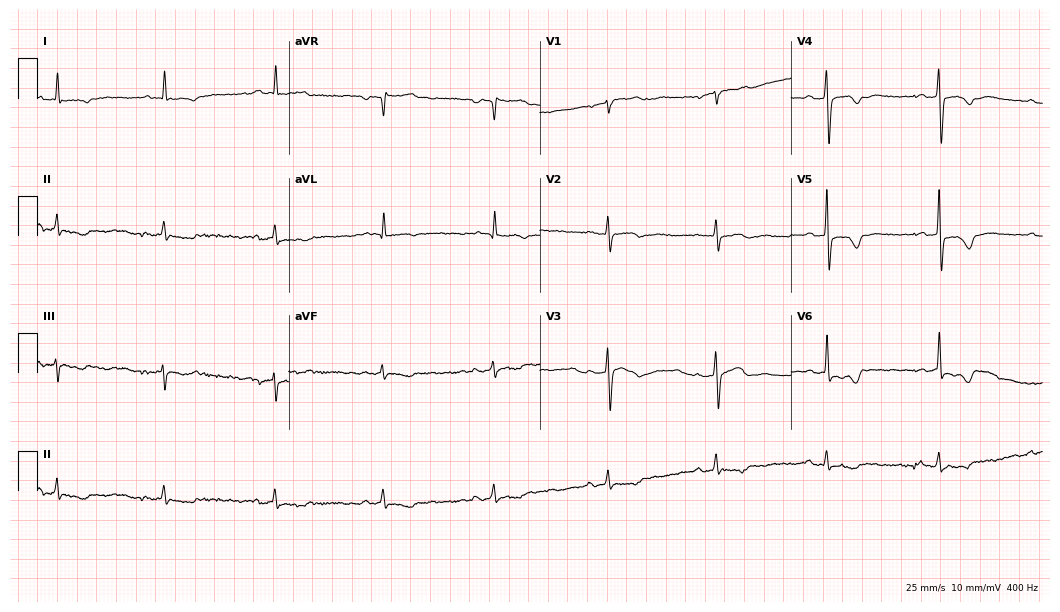
Electrocardiogram, a female patient, 83 years old. Overall reading on record: normal ECG.